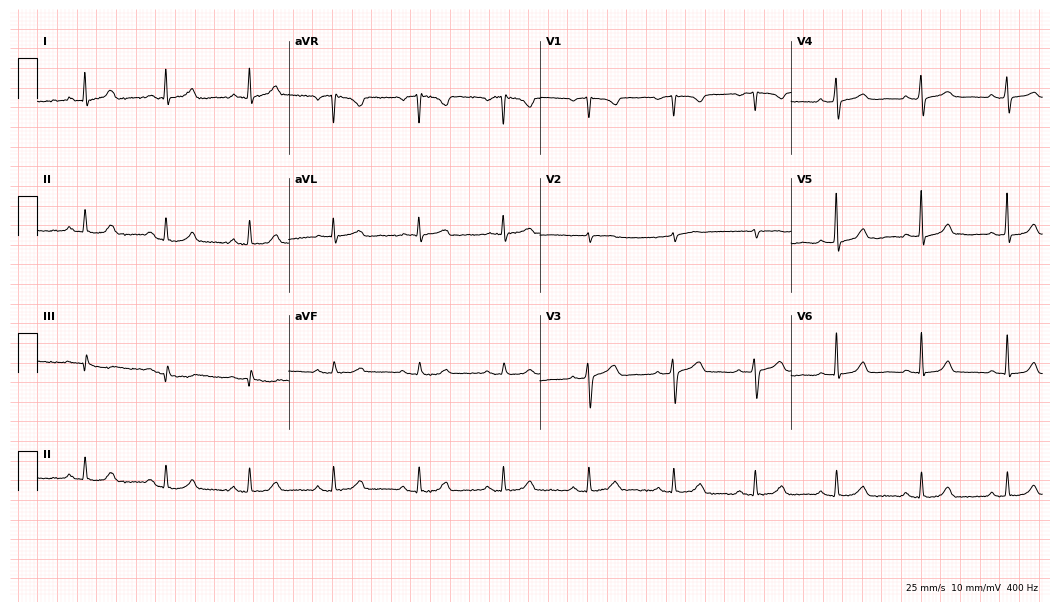
12-lead ECG from a 54-year-old female. Labelled as a normal ECG.